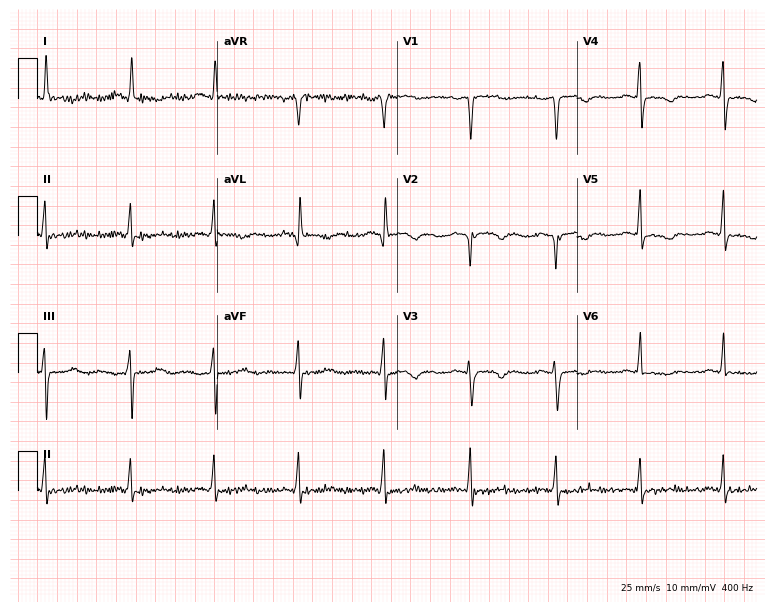
12-lead ECG from a female patient, 64 years old. No first-degree AV block, right bundle branch block (RBBB), left bundle branch block (LBBB), sinus bradycardia, atrial fibrillation (AF) or sinus tachycardia recorded for this tracing. Other findings, if any, are not listed.